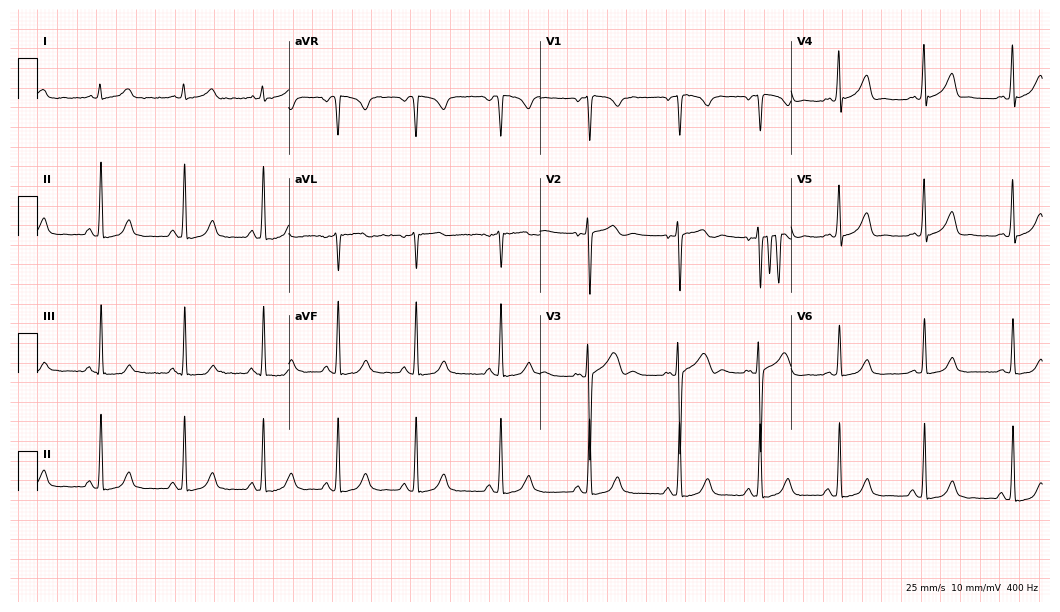
Standard 12-lead ECG recorded from a 27-year-old woman (10.2-second recording at 400 Hz). Read as a normal ECG.